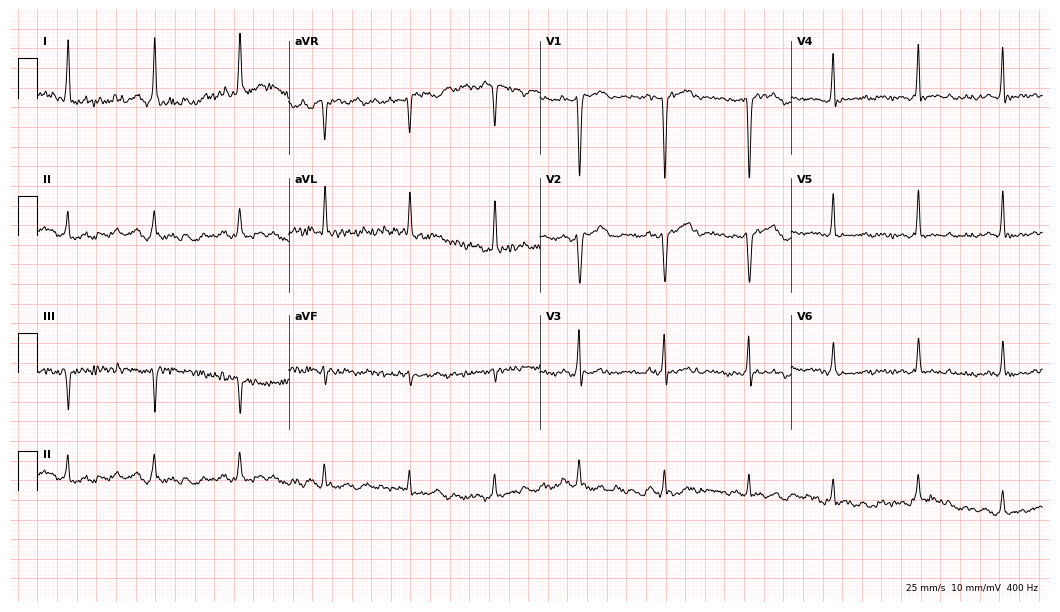
Standard 12-lead ECG recorded from a 77-year-old woman. None of these six findings is recorded: first-degree AV block, right bundle branch block, left bundle branch block, sinus bradycardia, atrial fibrillation, sinus tachycardia.